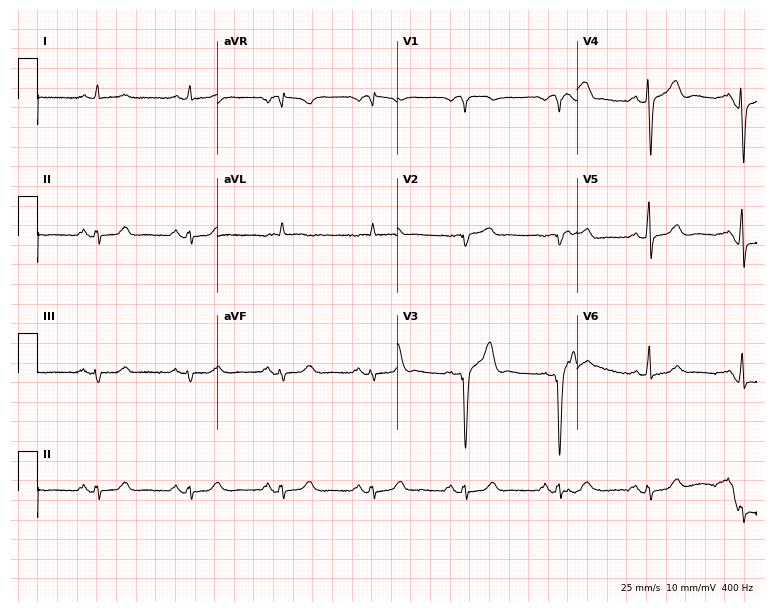
Standard 12-lead ECG recorded from a male, 56 years old (7.3-second recording at 400 Hz). None of these six findings is recorded: first-degree AV block, right bundle branch block, left bundle branch block, sinus bradycardia, atrial fibrillation, sinus tachycardia. Other findings, if any, are not listed.